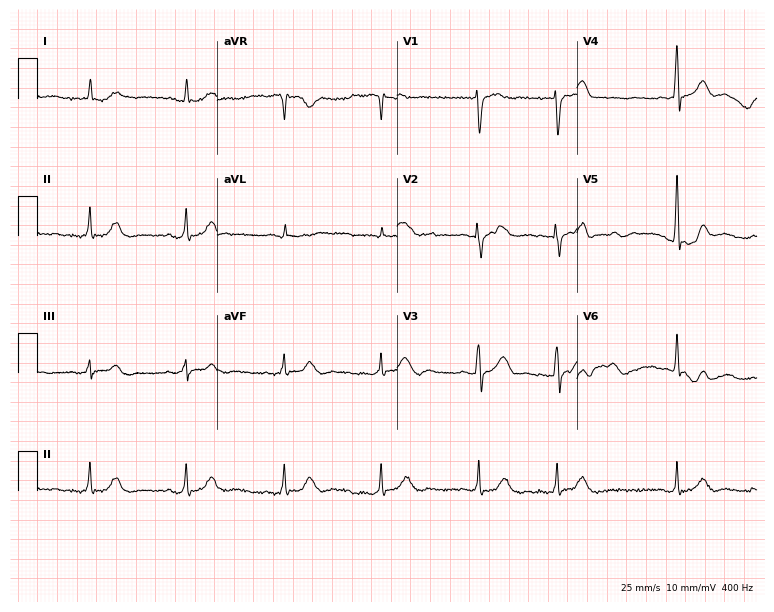
12-lead ECG from a 76-year-old man. Screened for six findings — first-degree AV block, right bundle branch block, left bundle branch block, sinus bradycardia, atrial fibrillation, sinus tachycardia — none is recorded.